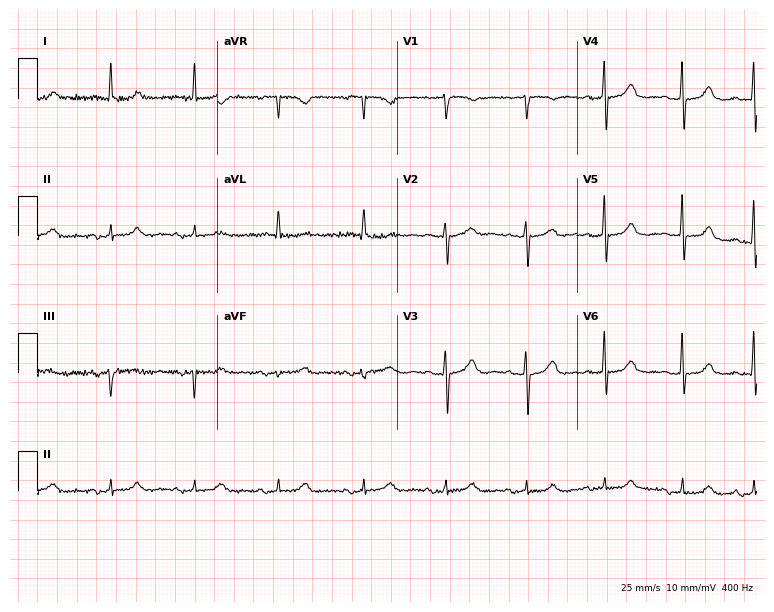
Electrocardiogram, a woman, 80 years old. Overall reading on record: normal ECG.